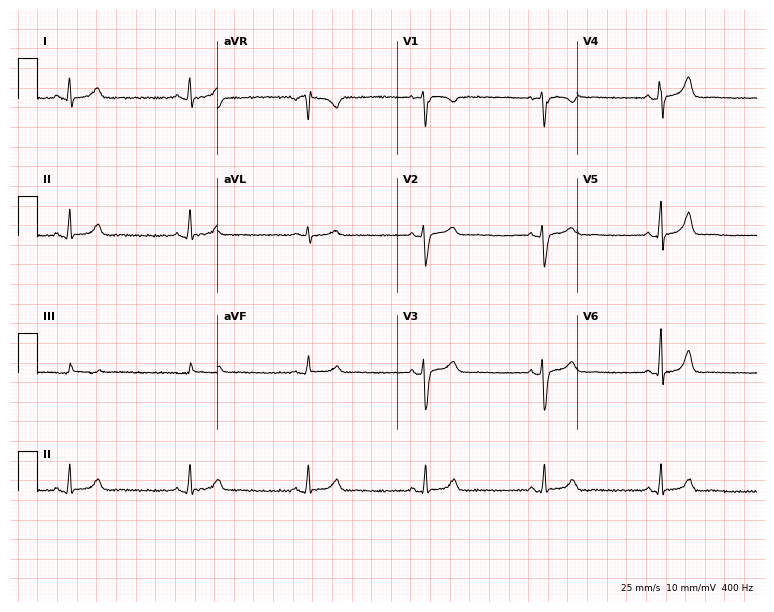
12-lead ECG from a woman, 39 years old. Recorded interpretation: within normal limits.